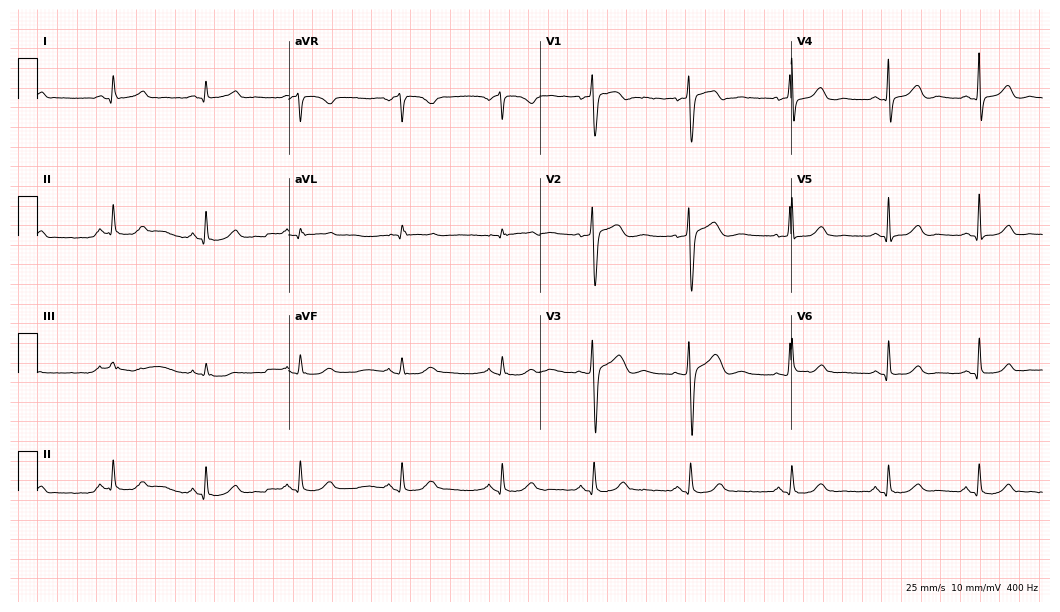
12-lead ECG from a female patient, 41 years old. Recorded interpretation: within normal limits.